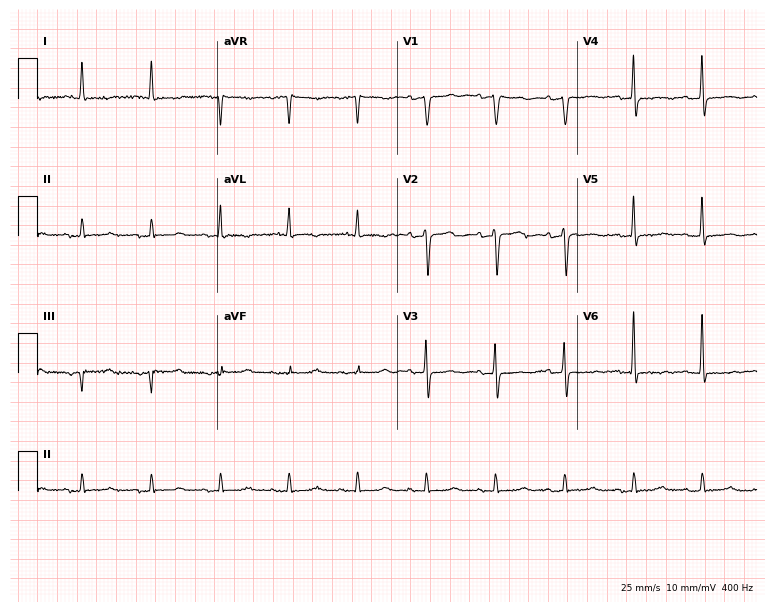
Electrocardiogram (7.3-second recording at 400 Hz), a female, 74 years old. Of the six screened findings (first-degree AV block, right bundle branch block, left bundle branch block, sinus bradycardia, atrial fibrillation, sinus tachycardia), none is recorded. Other findings, if any, are not listed.